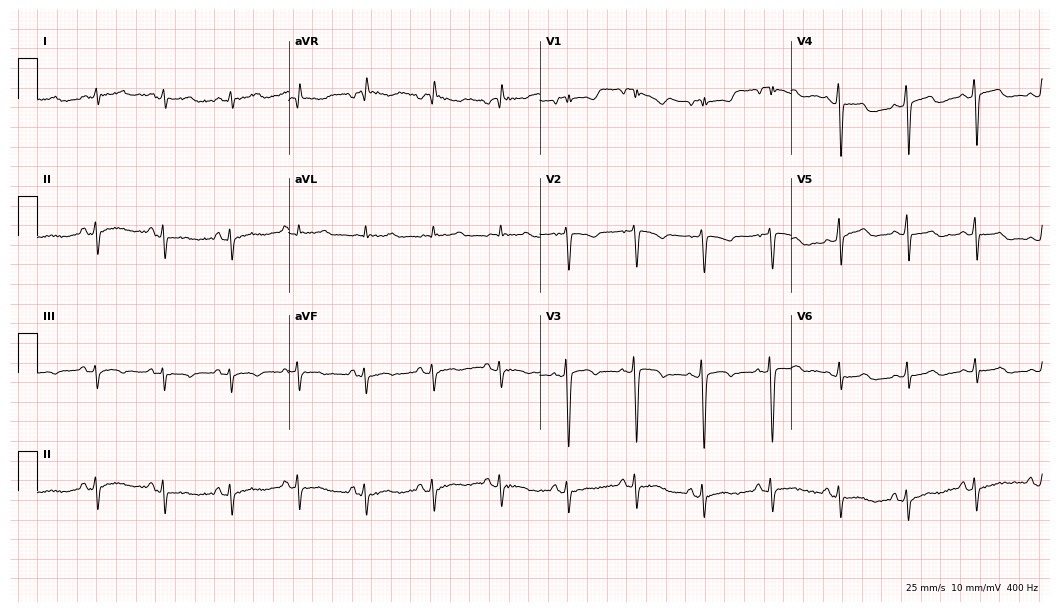
Resting 12-lead electrocardiogram (10.2-second recording at 400 Hz). Patient: a 67-year-old male. None of these six findings is recorded: first-degree AV block, right bundle branch block, left bundle branch block, sinus bradycardia, atrial fibrillation, sinus tachycardia. Only these six findings were labelled.